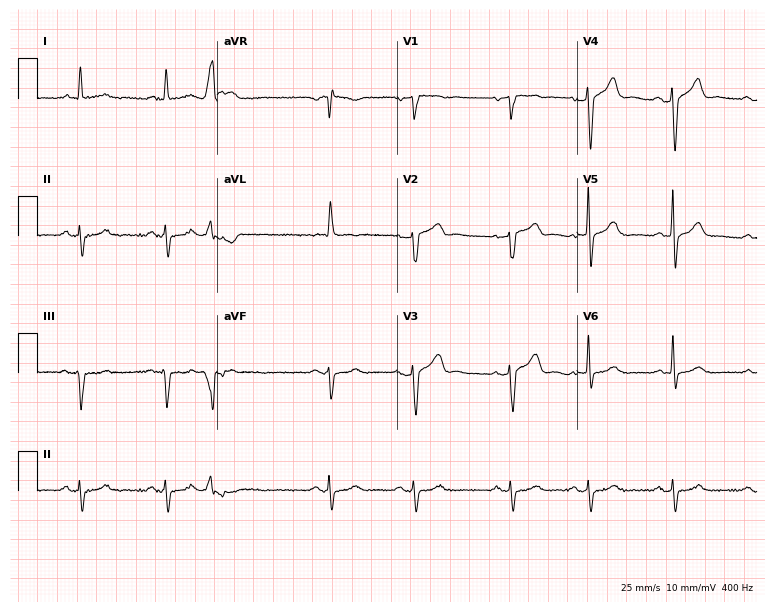
Electrocardiogram (7.3-second recording at 400 Hz), a male, 81 years old. Of the six screened findings (first-degree AV block, right bundle branch block (RBBB), left bundle branch block (LBBB), sinus bradycardia, atrial fibrillation (AF), sinus tachycardia), none is recorded.